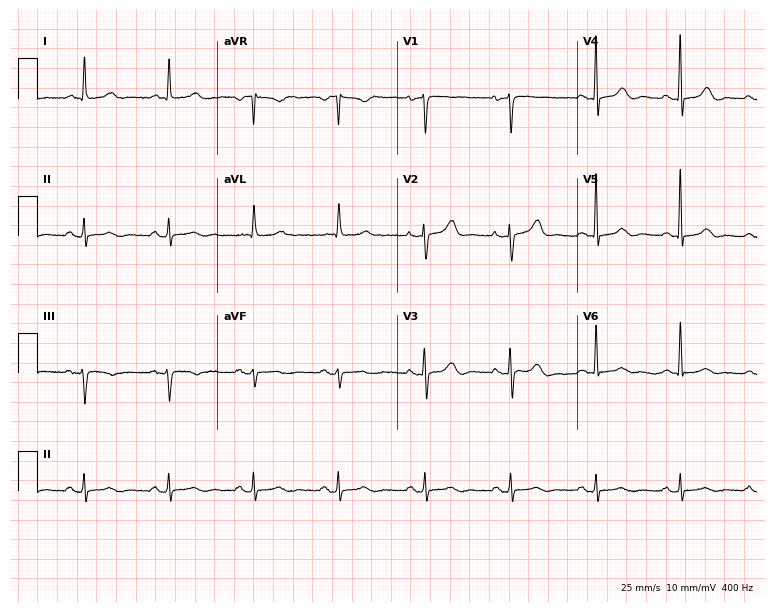
Electrocardiogram (7.3-second recording at 400 Hz), a 74-year-old female patient. Overall reading on record: normal ECG.